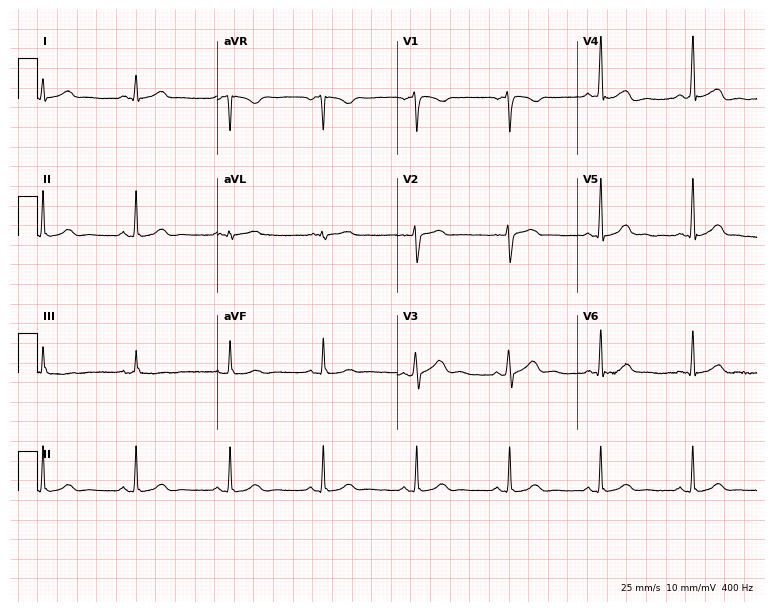
ECG — a 39-year-old female. Labelled as a normal ECG.